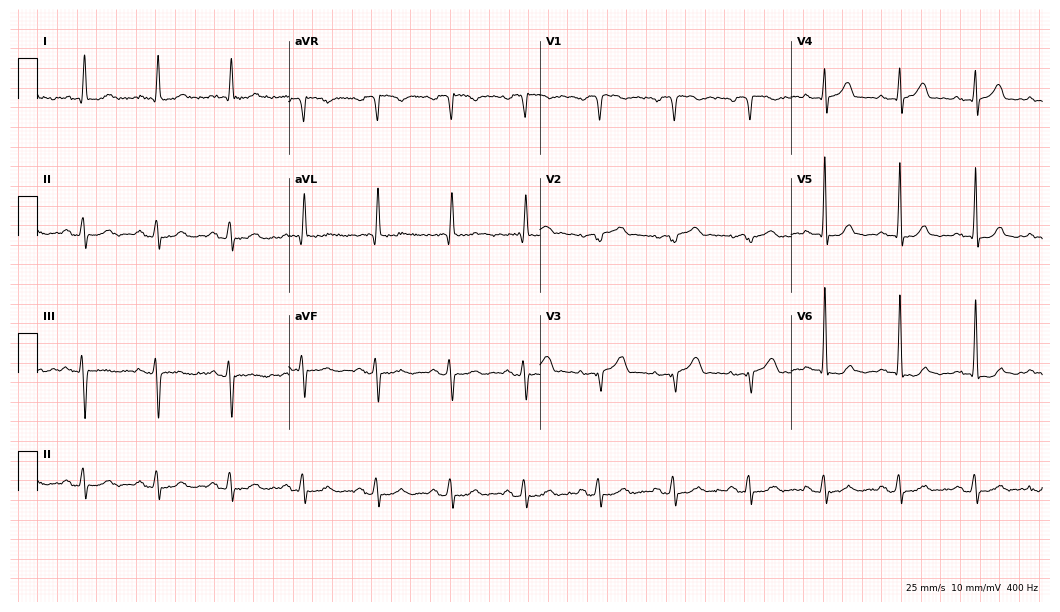
Electrocardiogram (10.2-second recording at 400 Hz), a 64-year-old male patient. Of the six screened findings (first-degree AV block, right bundle branch block, left bundle branch block, sinus bradycardia, atrial fibrillation, sinus tachycardia), none is recorded.